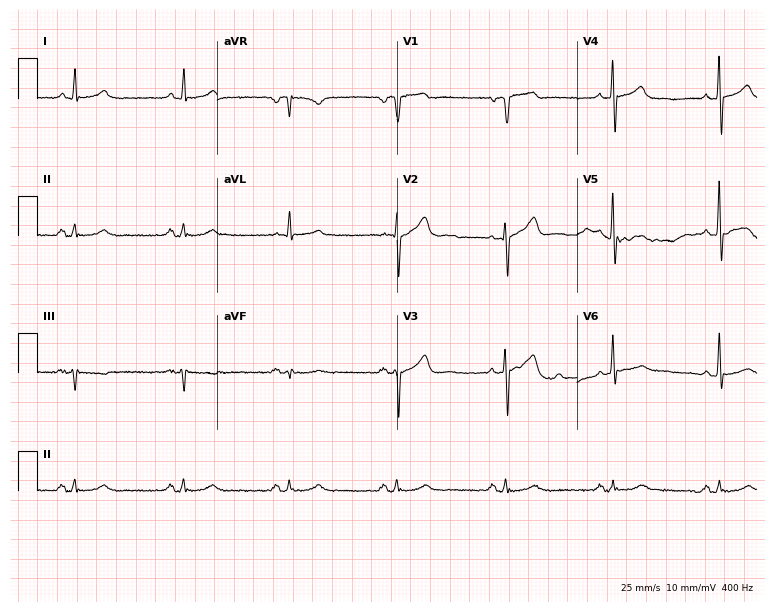
ECG (7.3-second recording at 400 Hz) — a man, 64 years old. Labelled as a normal ECG.